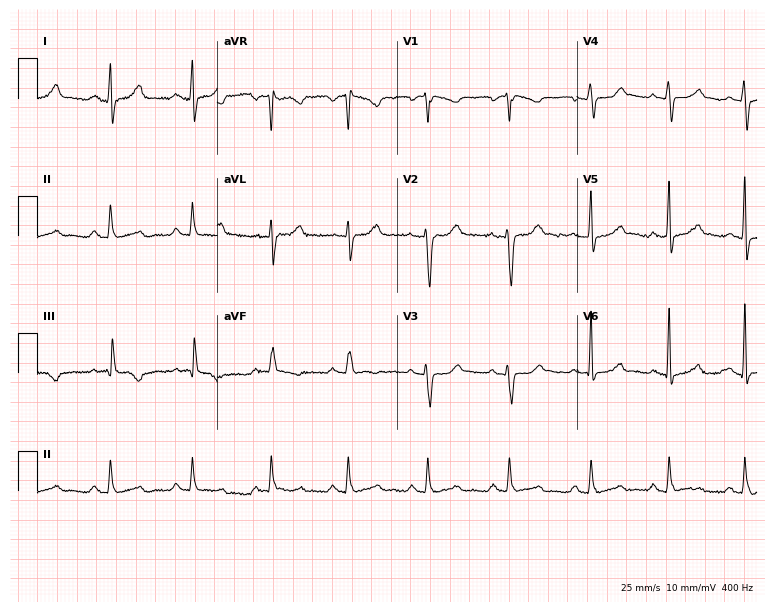
ECG (7.3-second recording at 400 Hz) — a 29-year-old female patient. Screened for six findings — first-degree AV block, right bundle branch block (RBBB), left bundle branch block (LBBB), sinus bradycardia, atrial fibrillation (AF), sinus tachycardia — none is recorded.